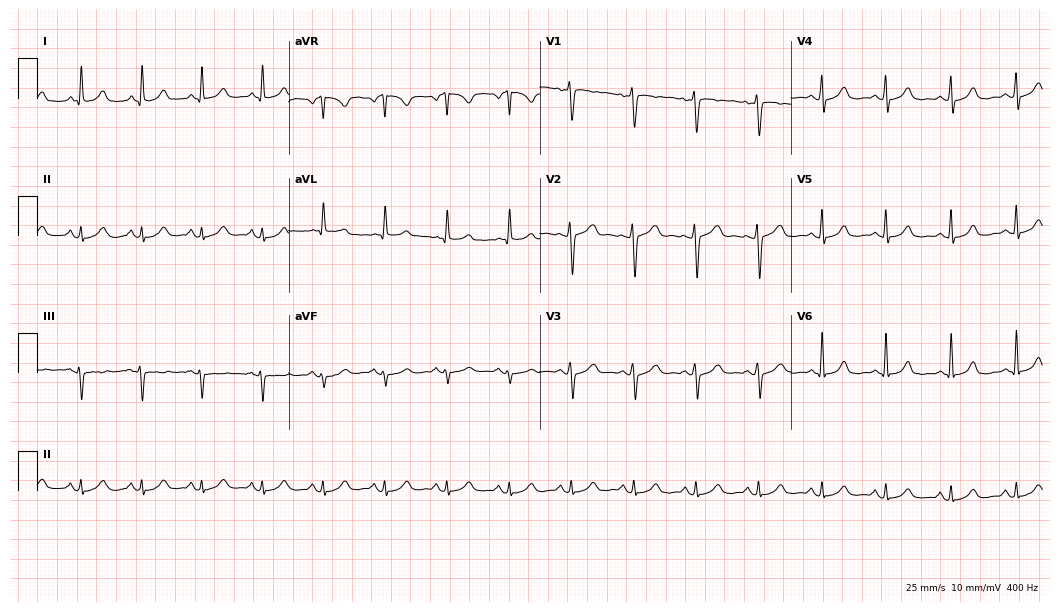
Standard 12-lead ECG recorded from a 56-year-old female patient (10.2-second recording at 400 Hz). Read as a normal ECG.